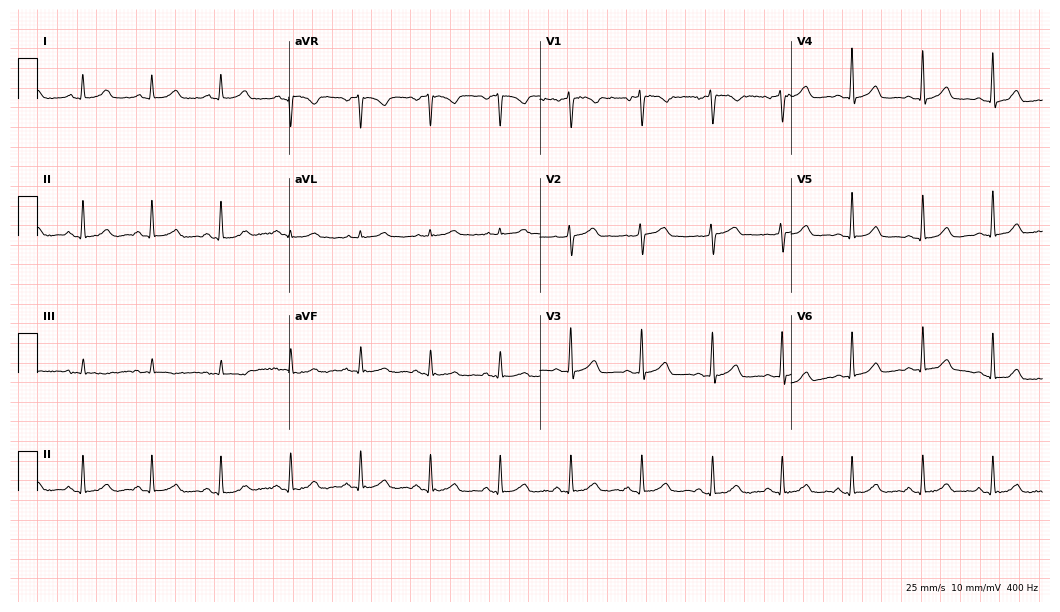
Standard 12-lead ECG recorded from a female patient, 52 years old. None of these six findings is recorded: first-degree AV block, right bundle branch block, left bundle branch block, sinus bradycardia, atrial fibrillation, sinus tachycardia. Findings outside these six are not listed.